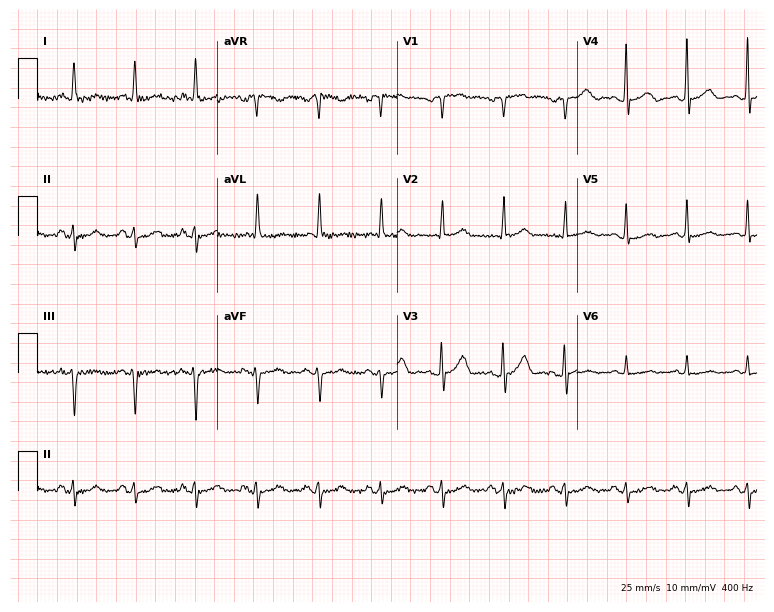
12-lead ECG (7.3-second recording at 400 Hz) from a male patient, 80 years old. Screened for six findings — first-degree AV block, right bundle branch block (RBBB), left bundle branch block (LBBB), sinus bradycardia, atrial fibrillation (AF), sinus tachycardia — none is recorded. Findings outside these six are not listed.